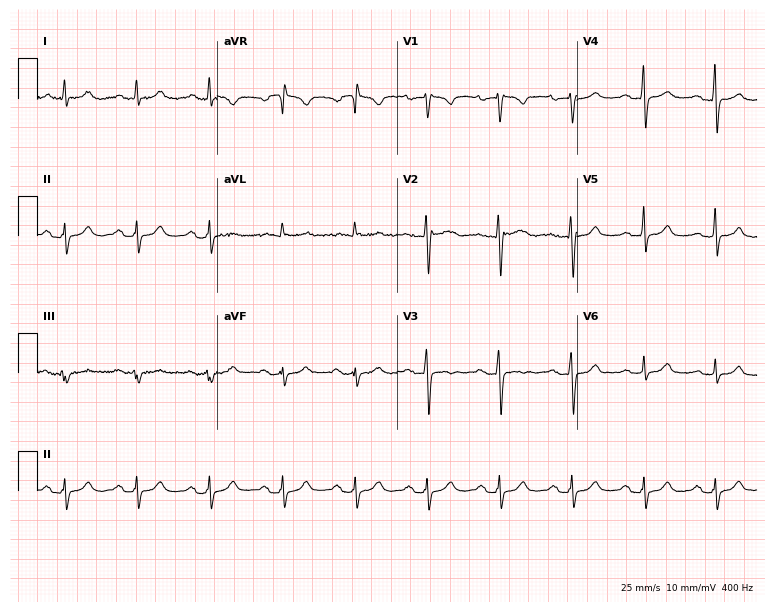
Electrocardiogram (7.3-second recording at 400 Hz), a female patient, 57 years old. Of the six screened findings (first-degree AV block, right bundle branch block, left bundle branch block, sinus bradycardia, atrial fibrillation, sinus tachycardia), none is recorded. Only these six findings were labelled.